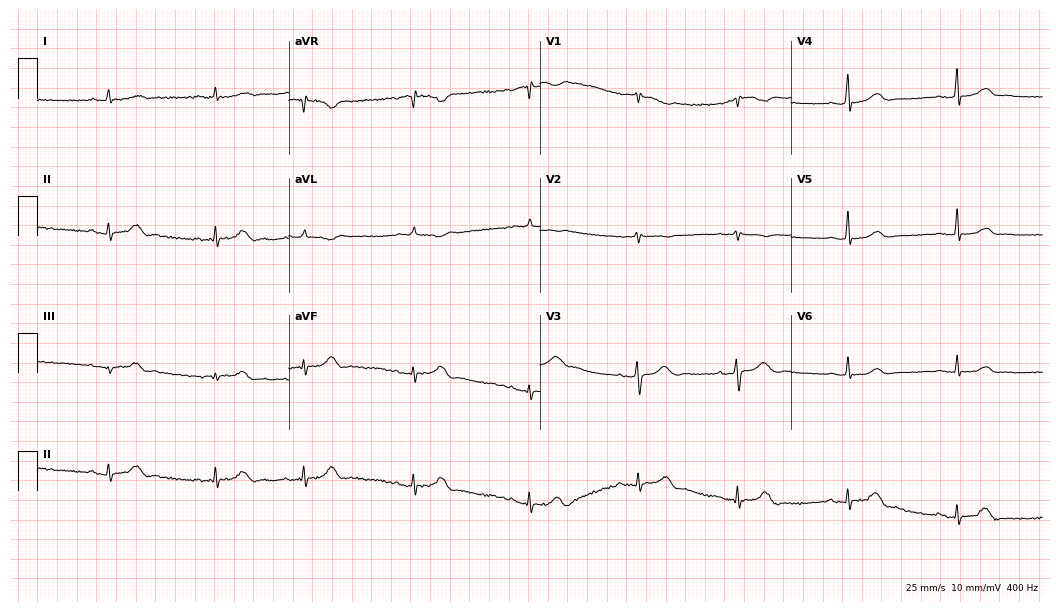
Standard 12-lead ECG recorded from a female, 76 years old. Read as a normal ECG.